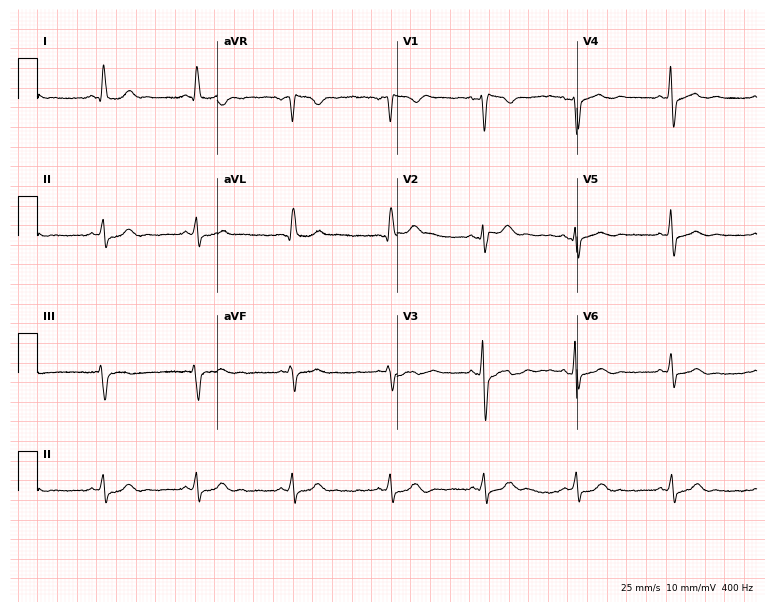
ECG — a 46-year-old male. Labelled as a normal ECG.